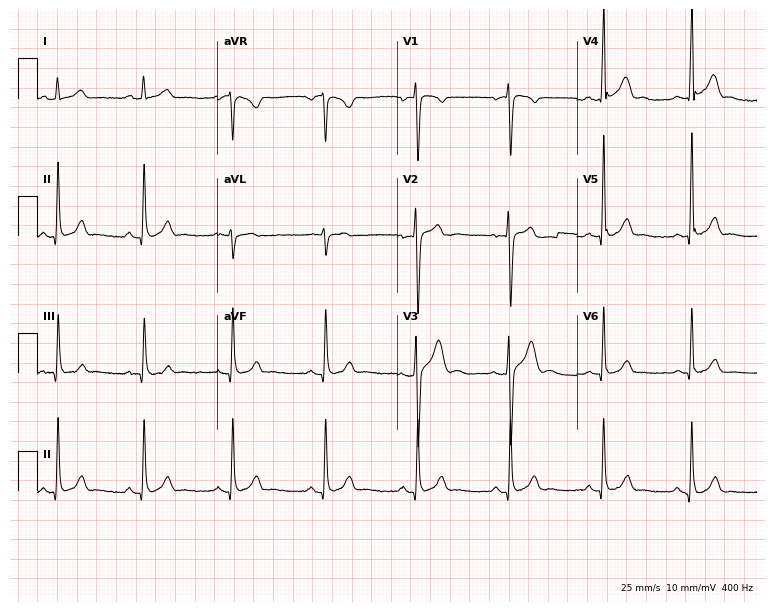
12-lead ECG (7.3-second recording at 400 Hz) from a man, 26 years old. Labelled as a normal ECG.